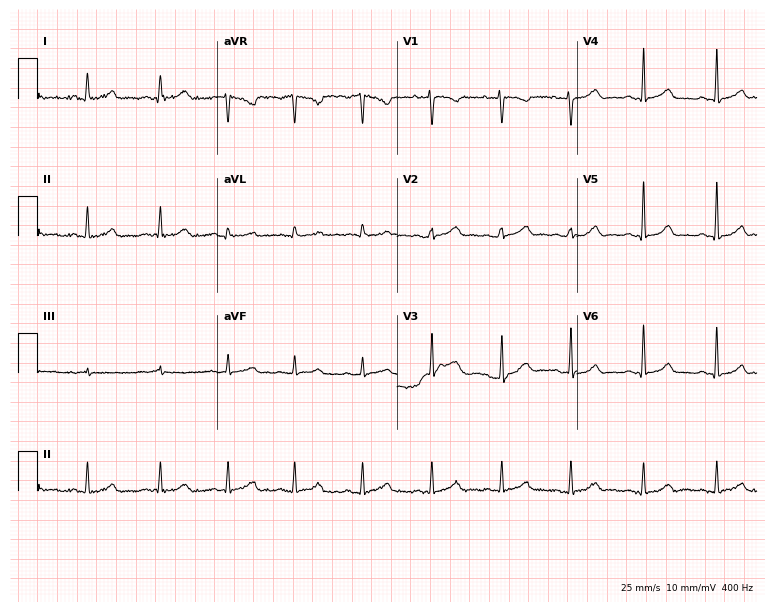
12-lead ECG (7.3-second recording at 400 Hz) from a female, 25 years old. Screened for six findings — first-degree AV block, right bundle branch block (RBBB), left bundle branch block (LBBB), sinus bradycardia, atrial fibrillation (AF), sinus tachycardia — none is recorded. Only these six findings were labelled.